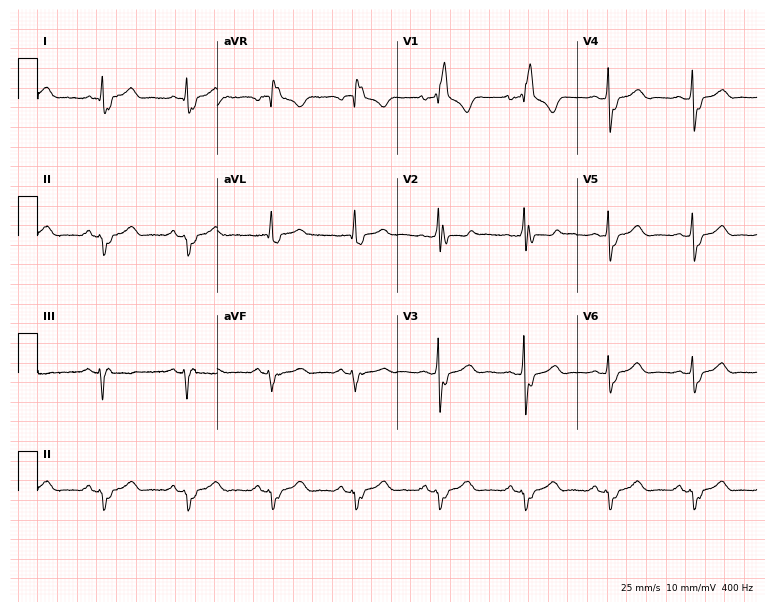
12-lead ECG from a 74-year-old male (7.3-second recording at 400 Hz). Shows right bundle branch block.